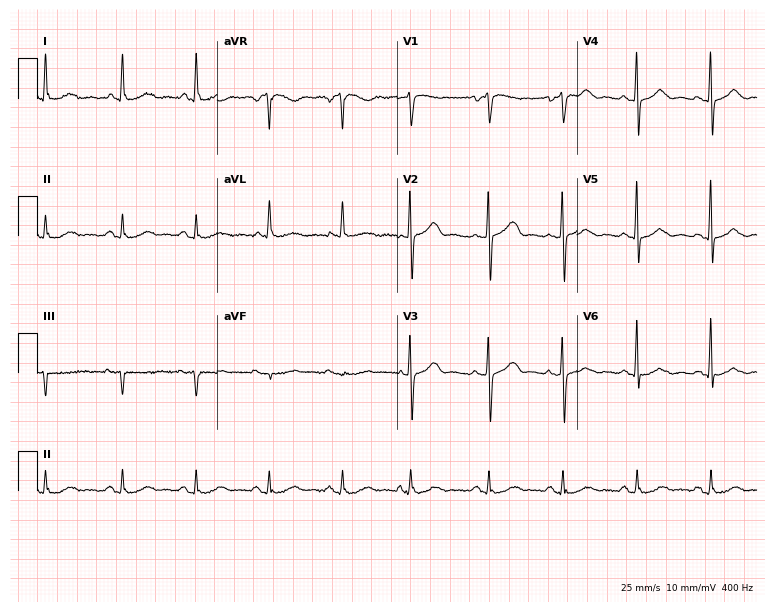
Electrocardiogram (7.3-second recording at 400 Hz), a female patient, 63 years old. Overall reading on record: normal ECG.